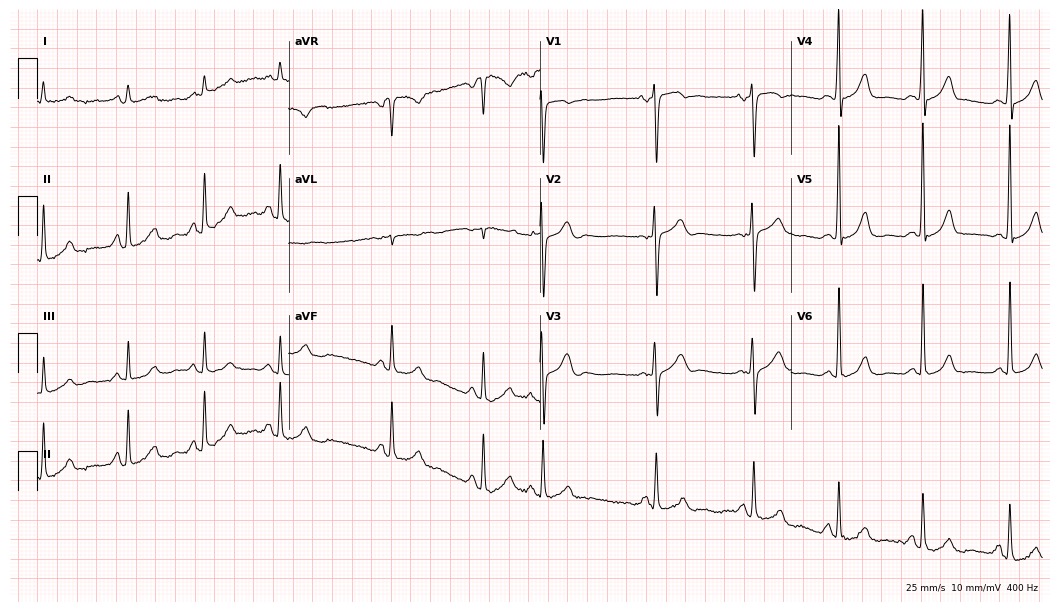
ECG — a 34-year-old woman. Labelled as a normal ECG.